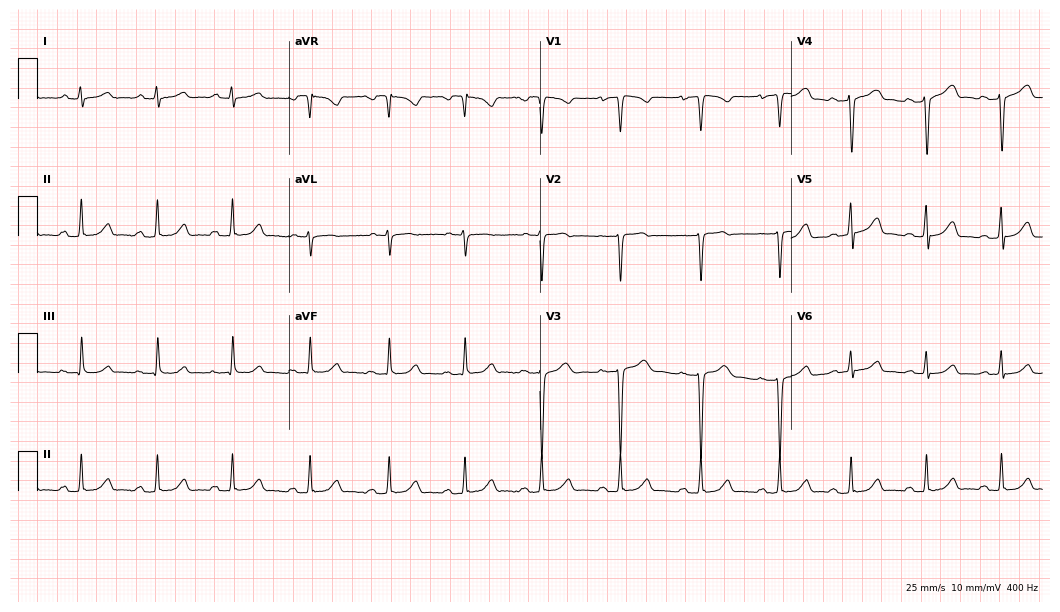
Standard 12-lead ECG recorded from a 23-year-old female patient (10.2-second recording at 400 Hz). None of these six findings is recorded: first-degree AV block, right bundle branch block, left bundle branch block, sinus bradycardia, atrial fibrillation, sinus tachycardia.